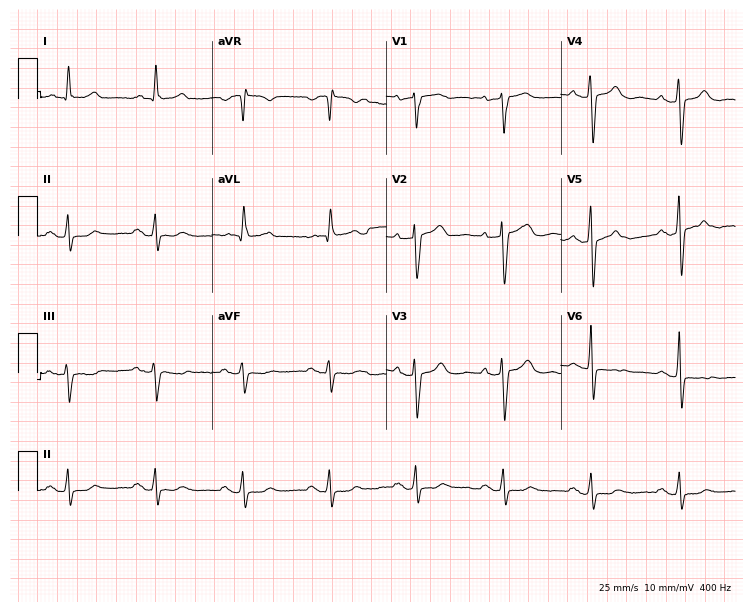
ECG — an 85-year-old female patient. Screened for six findings — first-degree AV block, right bundle branch block (RBBB), left bundle branch block (LBBB), sinus bradycardia, atrial fibrillation (AF), sinus tachycardia — none is recorded. Other findings, if any, are not listed.